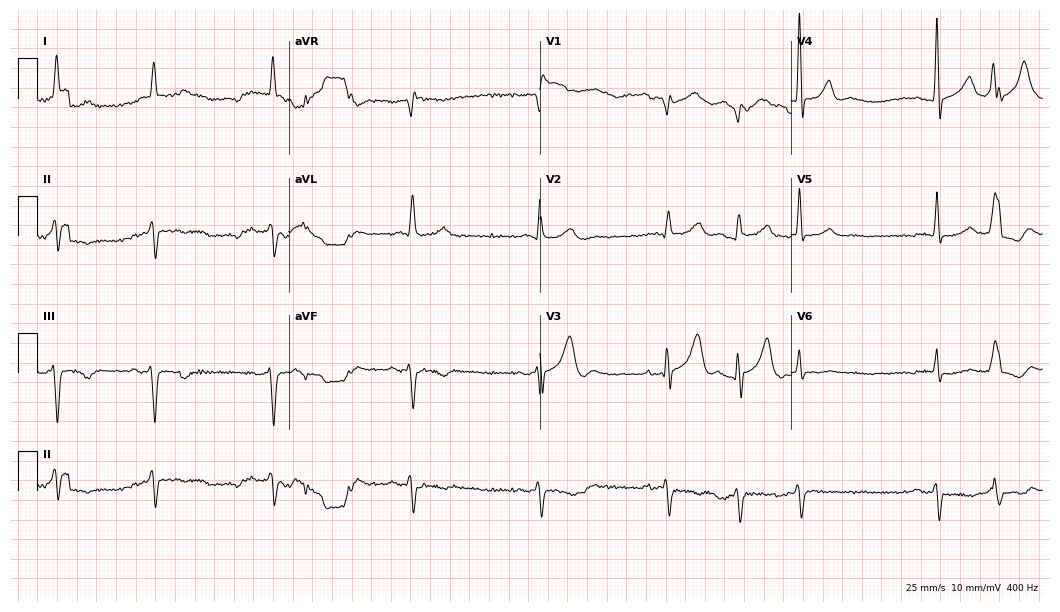
Resting 12-lead electrocardiogram (10.2-second recording at 400 Hz). Patient: a male, 79 years old. The tracing shows atrial fibrillation (AF).